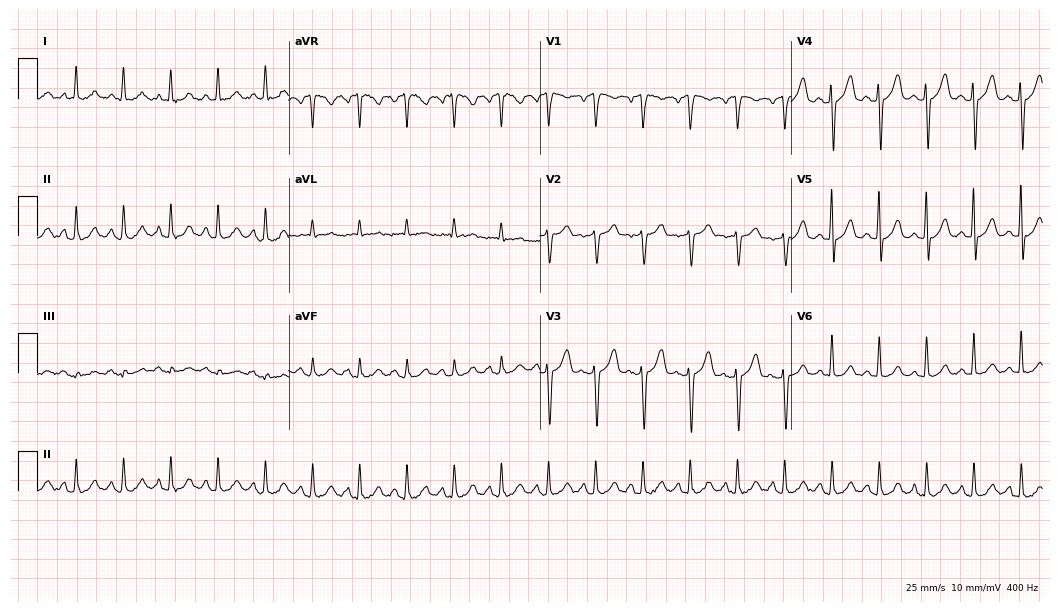
ECG — a woman, 75 years old. Findings include sinus tachycardia (a sinus rate of 100 beats per minute or more).